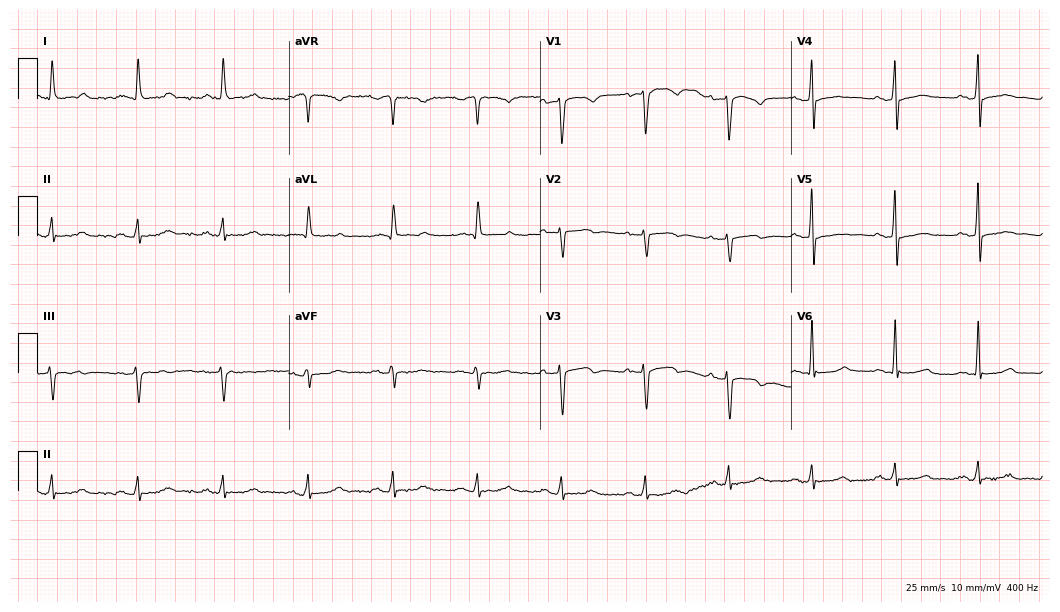
Resting 12-lead electrocardiogram (10.2-second recording at 400 Hz). Patient: a 67-year-old female. None of these six findings is recorded: first-degree AV block, right bundle branch block (RBBB), left bundle branch block (LBBB), sinus bradycardia, atrial fibrillation (AF), sinus tachycardia.